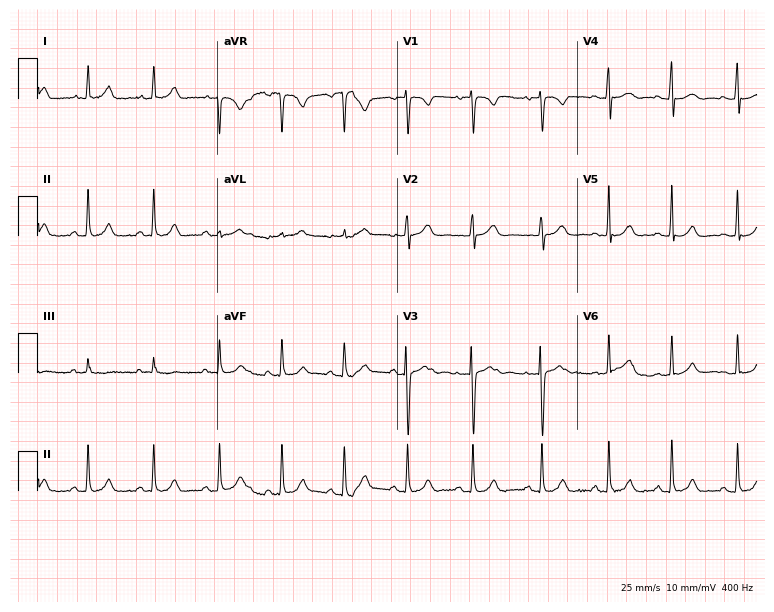
ECG — a 20-year-old woman. Labelled as a normal ECG.